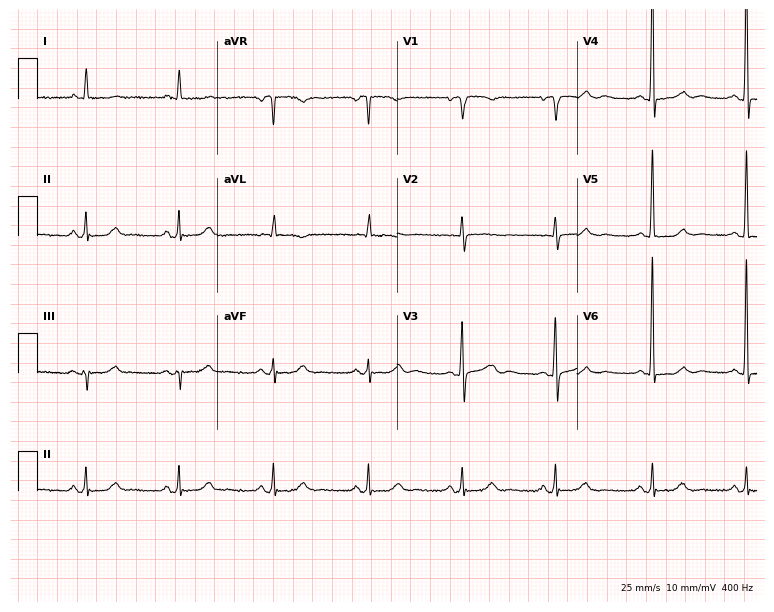
Electrocardiogram (7.3-second recording at 400 Hz), a 76-year-old female. Of the six screened findings (first-degree AV block, right bundle branch block, left bundle branch block, sinus bradycardia, atrial fibrillation, sinus tachycardia), none is recorded.